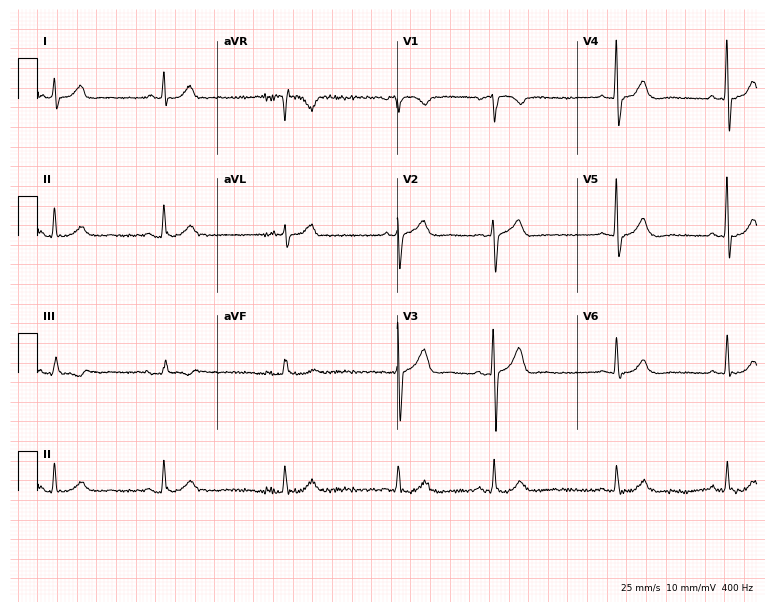
12-lead ECG from a 69-year-old man. Screened for six findings — first-degree AV block, right bundle branch block, left bundle branch block, sinus bradycardia, atrial fibrillation, sinus tachycardia — none is recorded. Only these six findings were labelled.